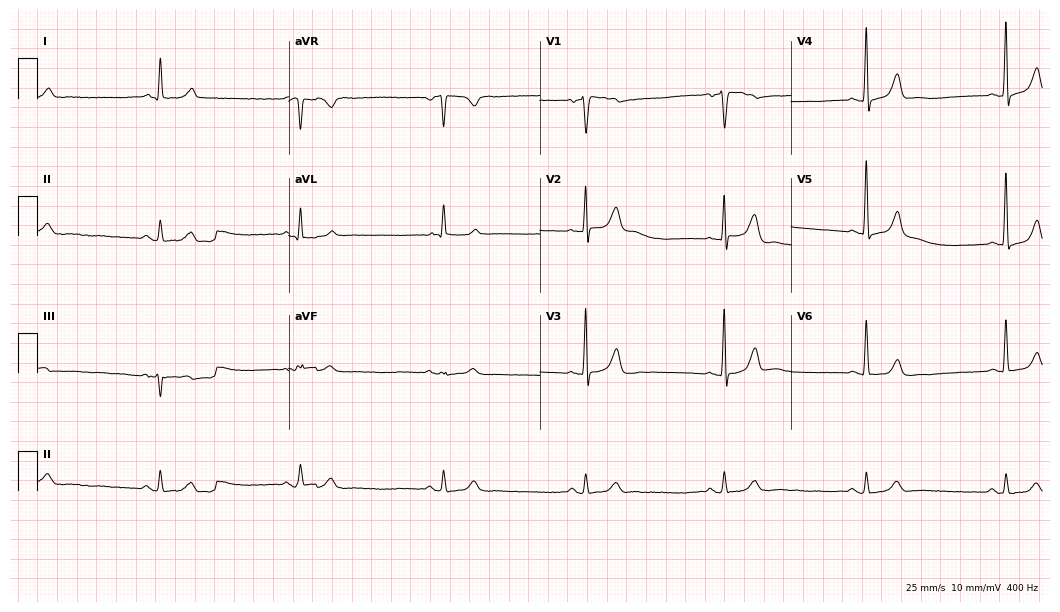
Standard 12-lead ECG recorded from a 59-year-old man (10.2-second recording at 400 Hz). The tracing shows sinus bradycardia (a sinus rate of 50 beats per minute or less).